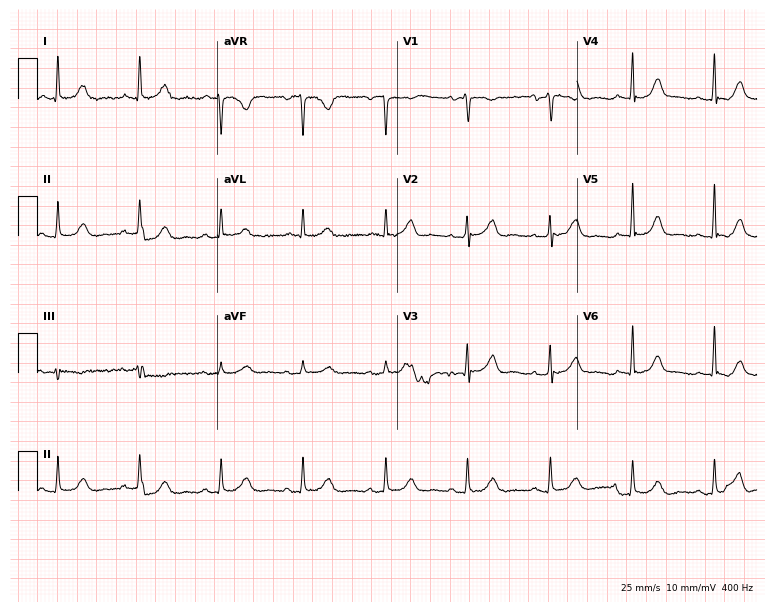
Resting 12-lead electrocardiogram. Patient: a woman, 71 years old. None of these six findings is recorded: first-degree AV block, right bundle branch block, left bundle branch block, sinus bradycardia, atrial fibrillation, sinus tachycardia. Only these six findings were labelled.